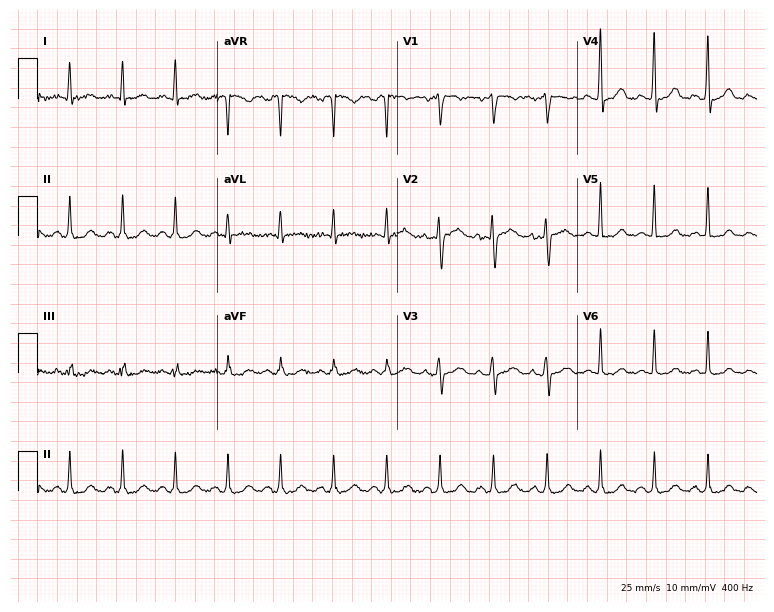
12-lead ECG from a 57-year-old female. Shows sinus tachycardia (a sinus rate of 100 beats per minute or more).